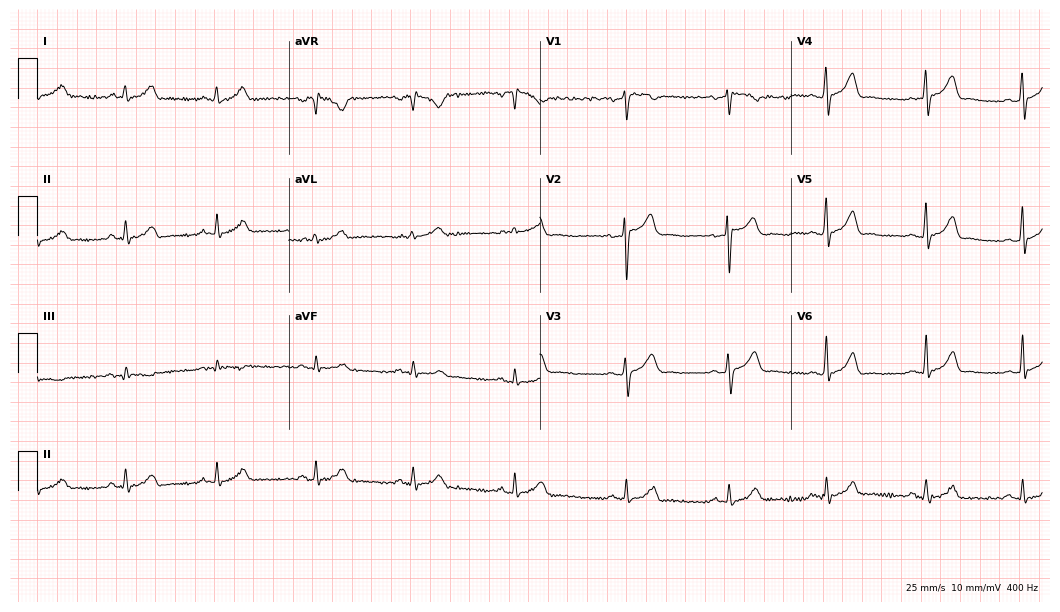
Resting 12-lead electrocardiogram (10.2-second recording at 400 Hz). Patient: a male, 28 years old. None of these six findings is recorded: first-degree AV block, right bundle branch block, left bundle branch block, sinus bradycardia, atrial fibrillation, sinus tachycardia.